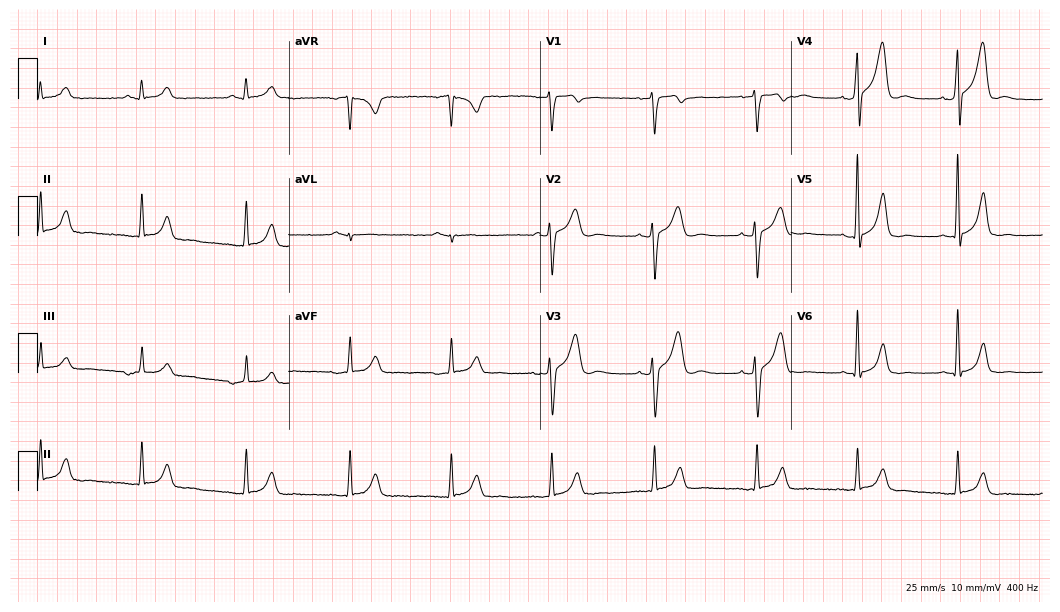
Electrocardiogram, a male, 46 years old. Overall reading on record: normal ECG.